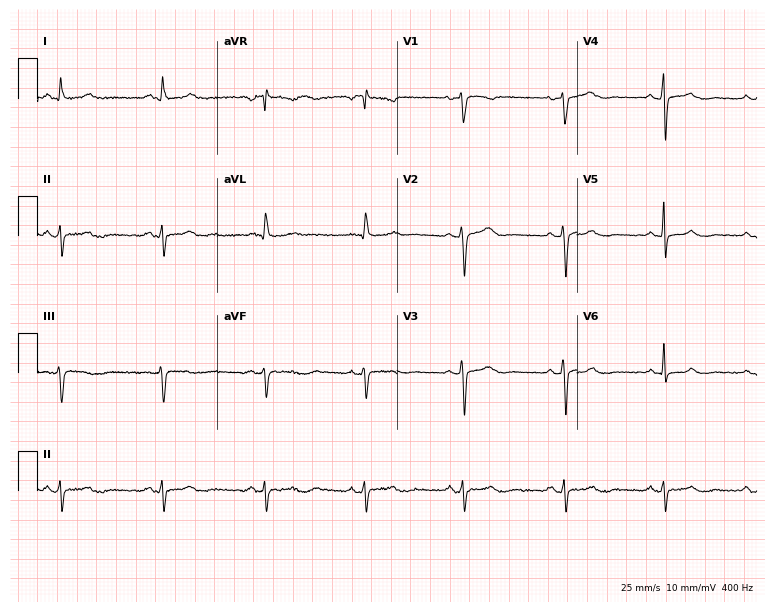
Electrocardiogram (7.3-second recording at 400 Hz), a 43-year-old female. Of the six screened findings (first-degree AV block, right bundle branch block (RBBB), left bundle branch block (LBBB), sinus bradycardia, atrial fibrillation (AF), sinus tachycardia), none is recorded. Findings outside these six are not listed.